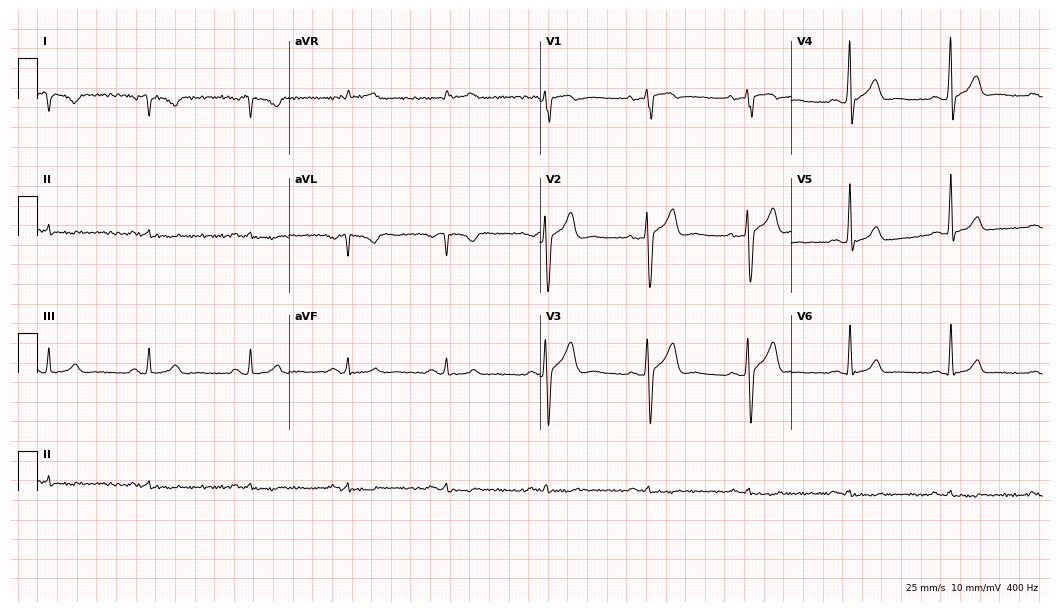
ECG (10.2-second recording at 400 Hz) — a male, 46 years old. Labelled as a normal ECG.